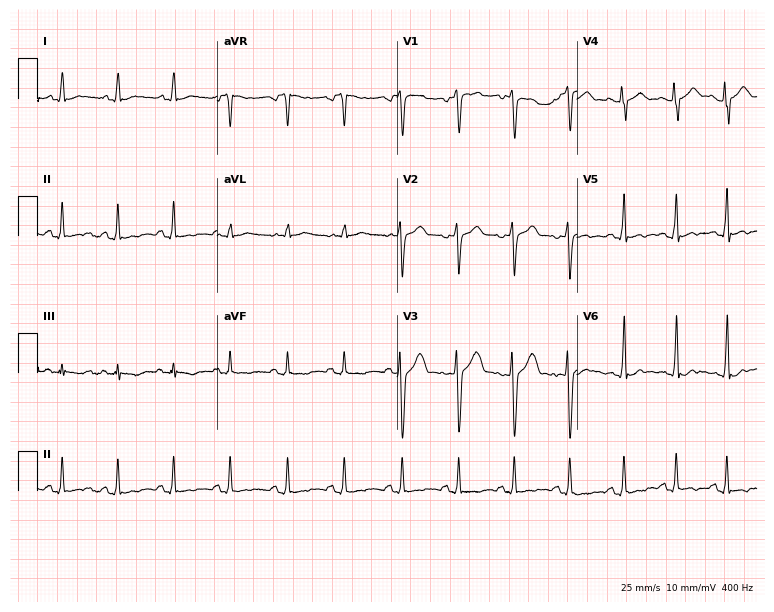
Standard 12-lead ECG recorded from a 22-year-old male patient. The tracing shows sinus tachycardia (a sinus rate of 100 beats per minute or more).